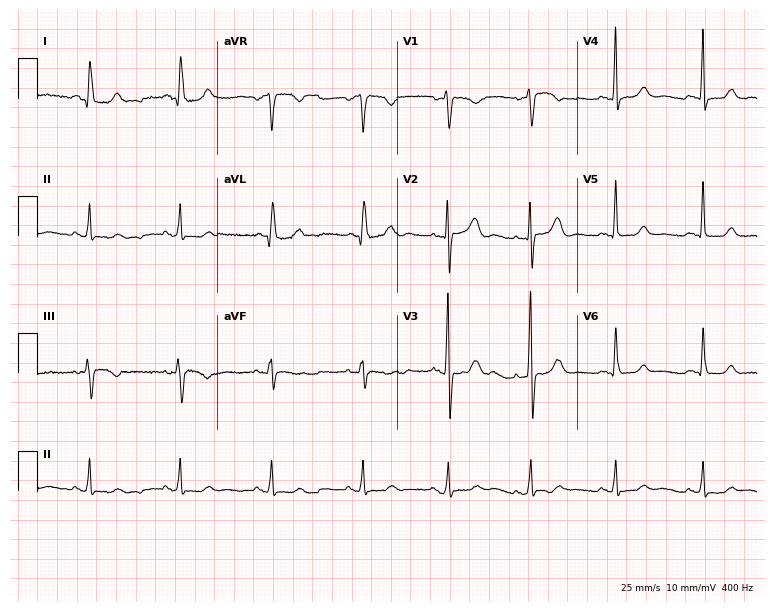
ECG (7.3-second recording at 400 Hz) — a female patient, 59 years old. Screened for six findings — first-degree AV block, right bundle branch block (RBBB), left bundle branch block (LBBB), sinus bradycardia, atrial fibrillation (AF), sinus tachycardia — none is recorded.